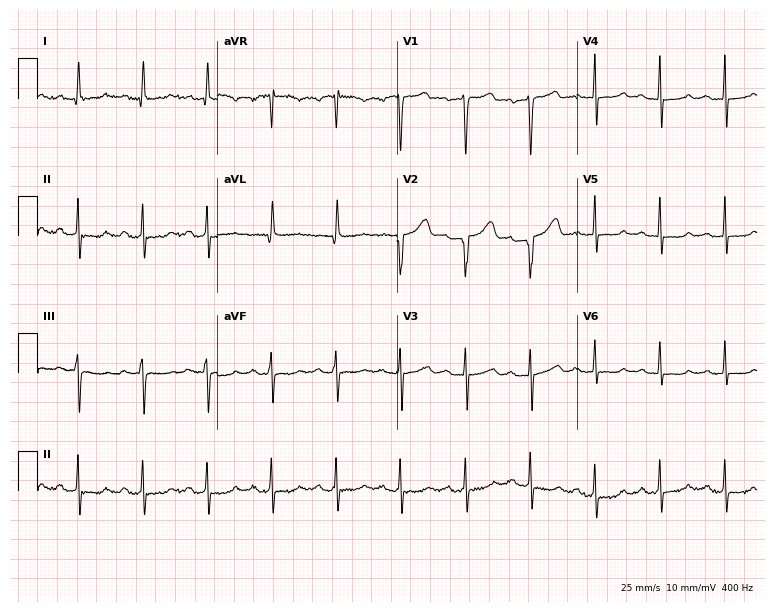
Standard 12-lead ECG recorded from a 61-year-old female patient (7.3-second recording at 400 Hz). None of these six findings is recorded: first-degree AV block, right bundle branch block, left bundle branch block, sinus bradycardia, atrial fibrillation, sinus tachycardia.